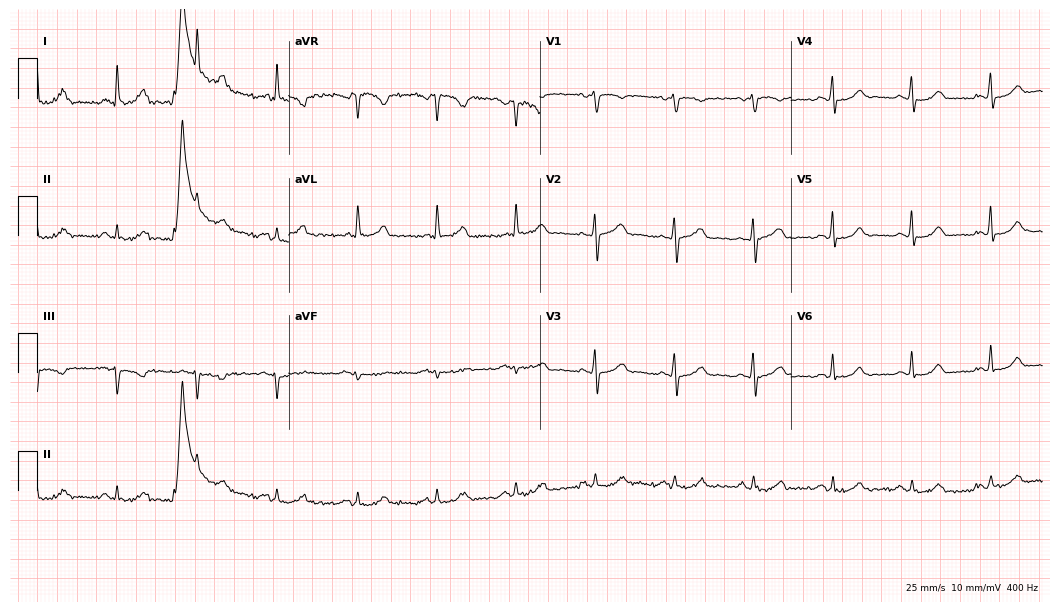
12-lead ECG from a 70-year-old female patient. Labelled as a normal ECG.